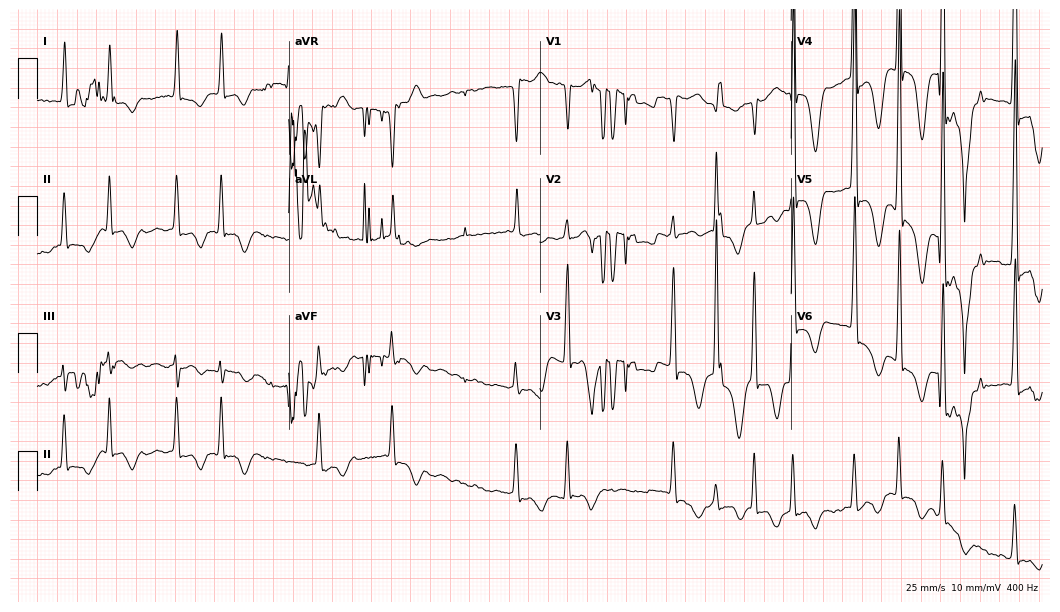
Electrocardiogram, a 78-year-old female patient. Interpretation includes atrial fibrillation.